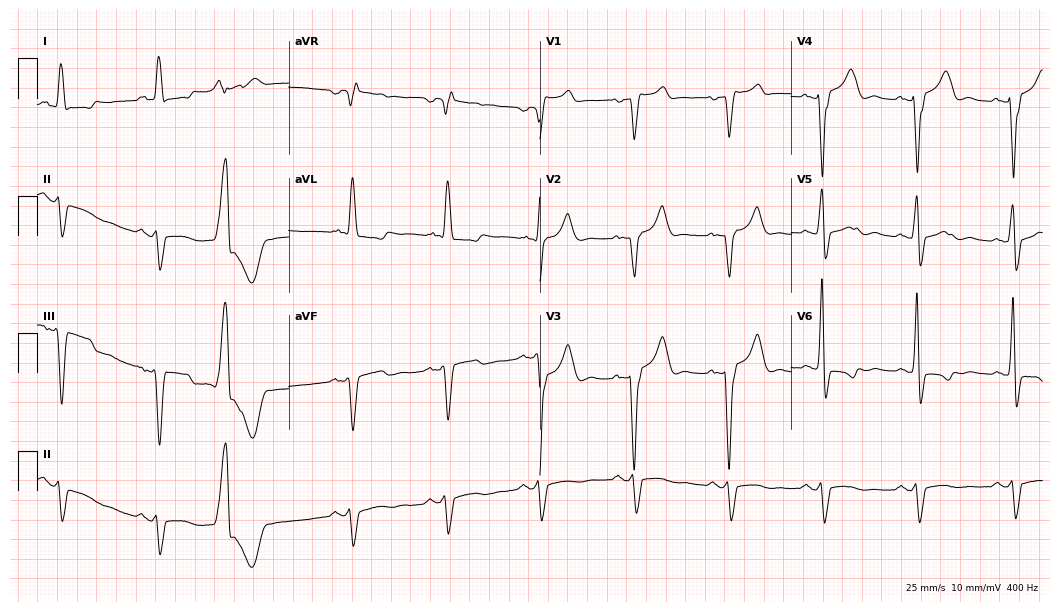
Resting 12-lead electrocardiogram. Patient: a 64-year-old male. None of these six findings is recorded: first-degree AV block, right bundle branch block, left bundle branch block, sinus bradycardia, atrial fibrillation, sinus tachycardia.